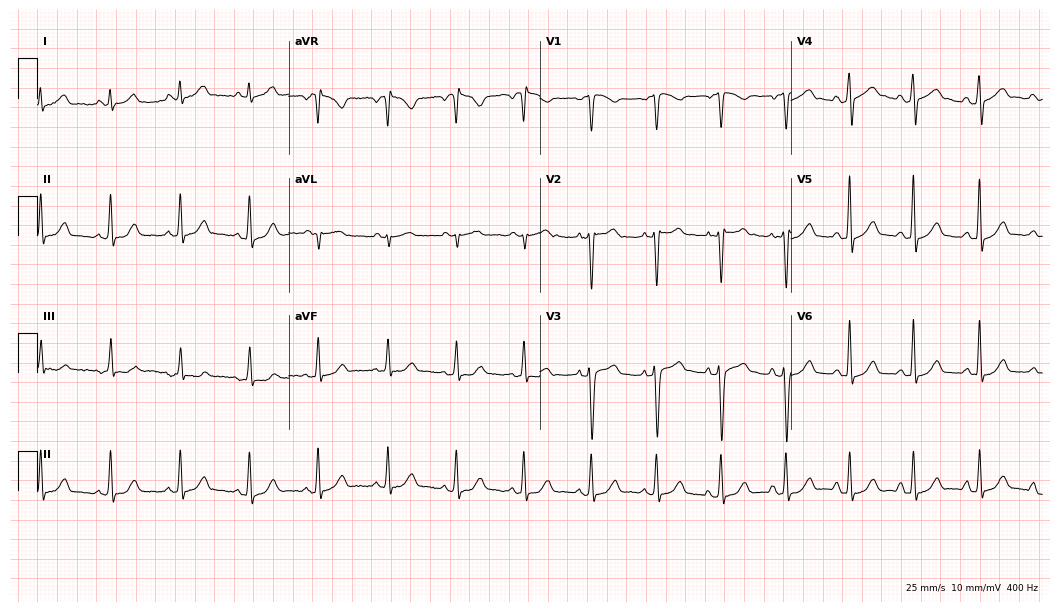
Standard 12-lead ECG recorded from a 42-year-old man. Read as a normal ECG.